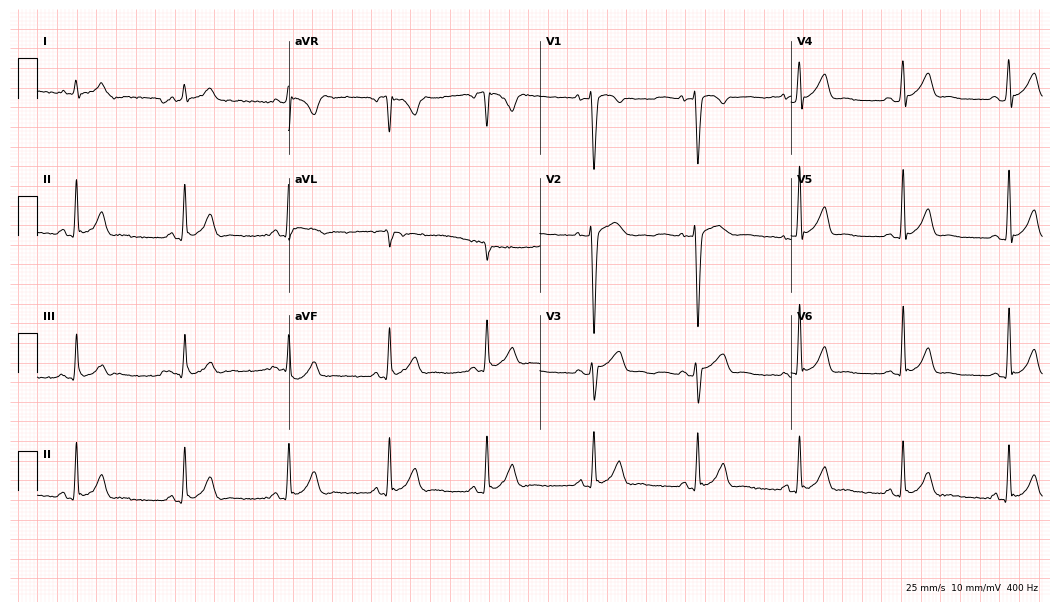
12-lead ECG (10.2-second recording at 400 Hz) from a male, 38 years old. Screened for six findings — first-degree AV block, right bundle branch block (RBBB), left bundle branch block (LBBB), sinus bradycardia, atrial fibrillation (AF), sinus tachycardia — none is recorded. Findings outside these six are not listed.